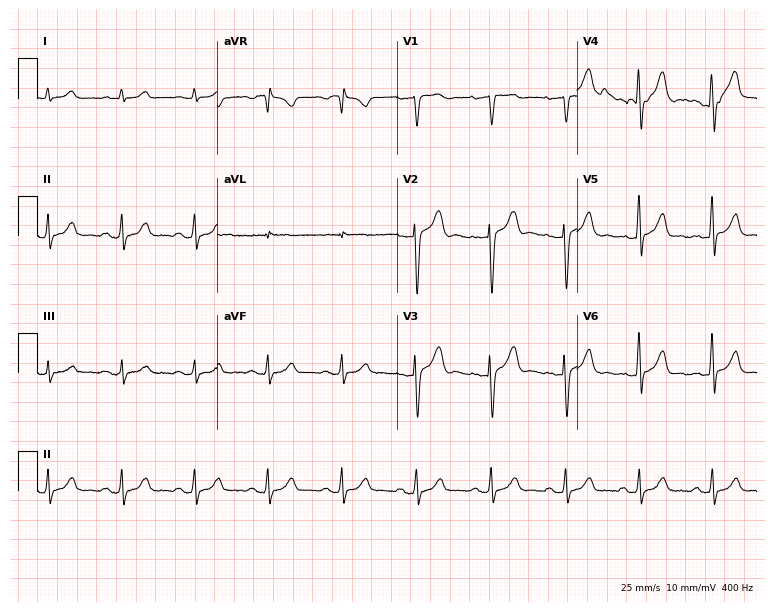
Standard 12-lead ECG recorded from a male, 49 years old (7.3-second recording at 400 Hz). Read as a normal ECG.